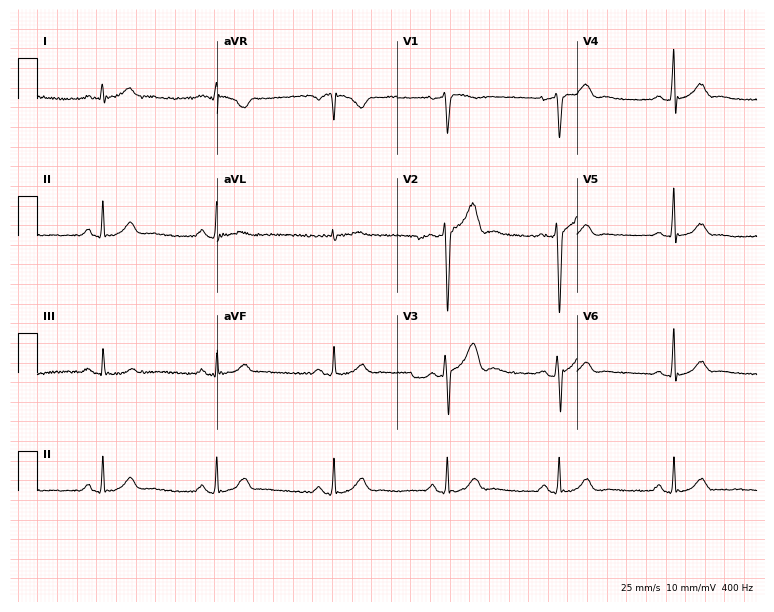
ECG (7.3-second recording at 400 Hz) — a 38-year-old male. Screened for six findings — first-degree AV block, right bundle branch block (RBBB), left bundle branch block (LBBB), sinus bradycardia, atrial fibrillation (AF), sinus tachycardia — none is recorded. Other findings, if any, are not listed.